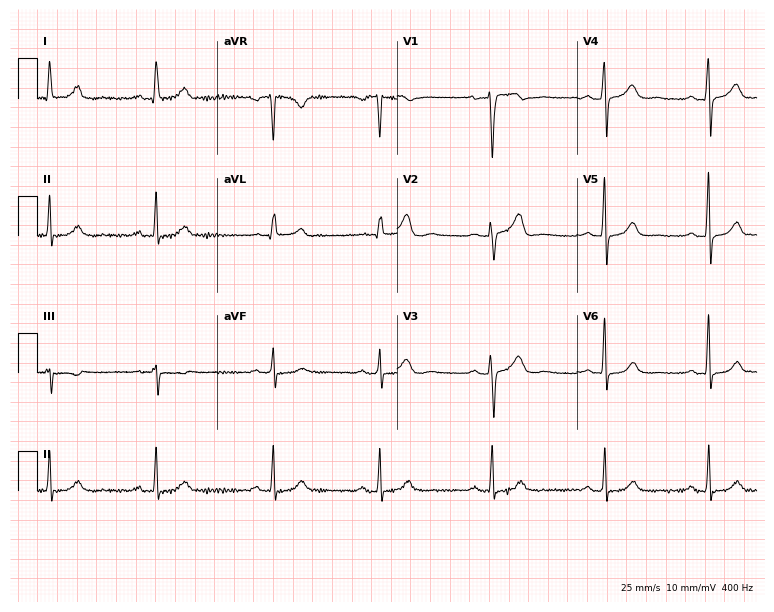
12-lead ECG from a female, 42 years old (7.3-second recording at 400 Hz). Recorded interpretation: within normal limits.